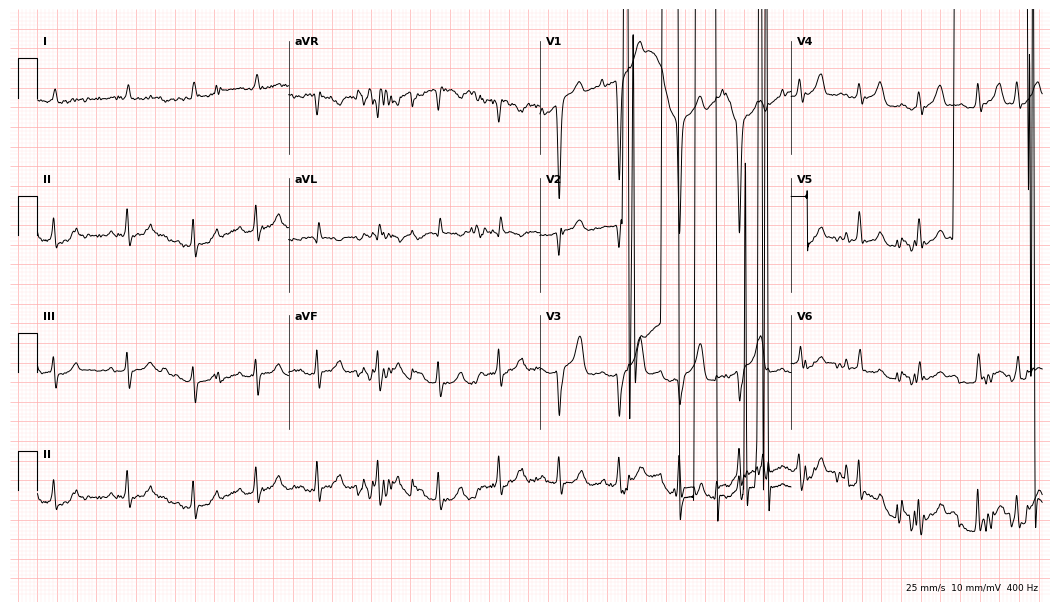
ECG — an 82-year-old male patient. Screened for six findings — first-degree AV block, right bundle branch block, left bundle branch block, sinus bradycardia, atrial fibrillation, sinus tachycardia — none is recorded.